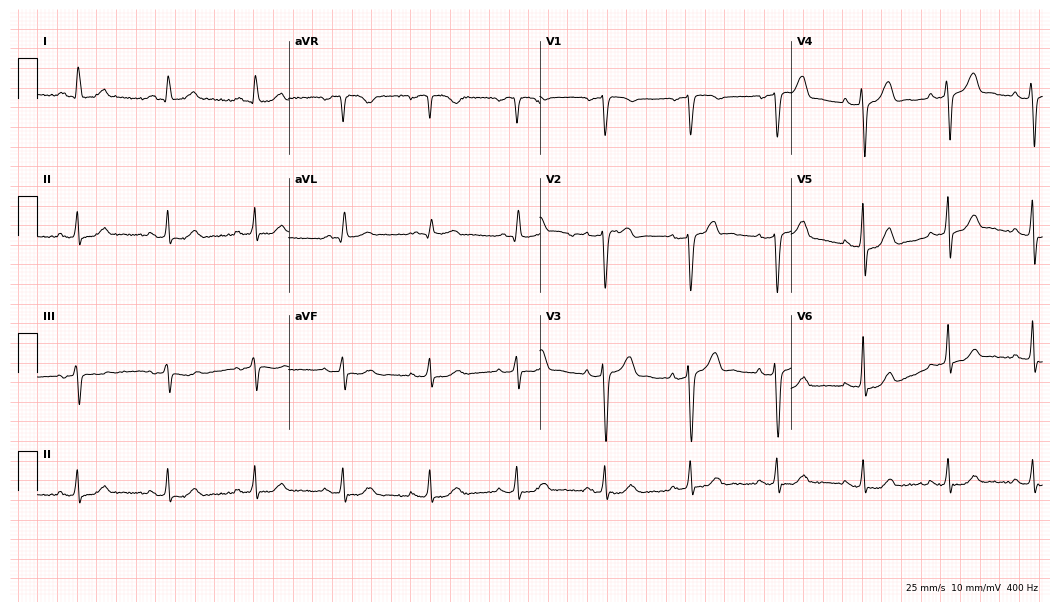
Standard 12-lead ECG recorded from a man, 79 years old. Read as a normal ECG.